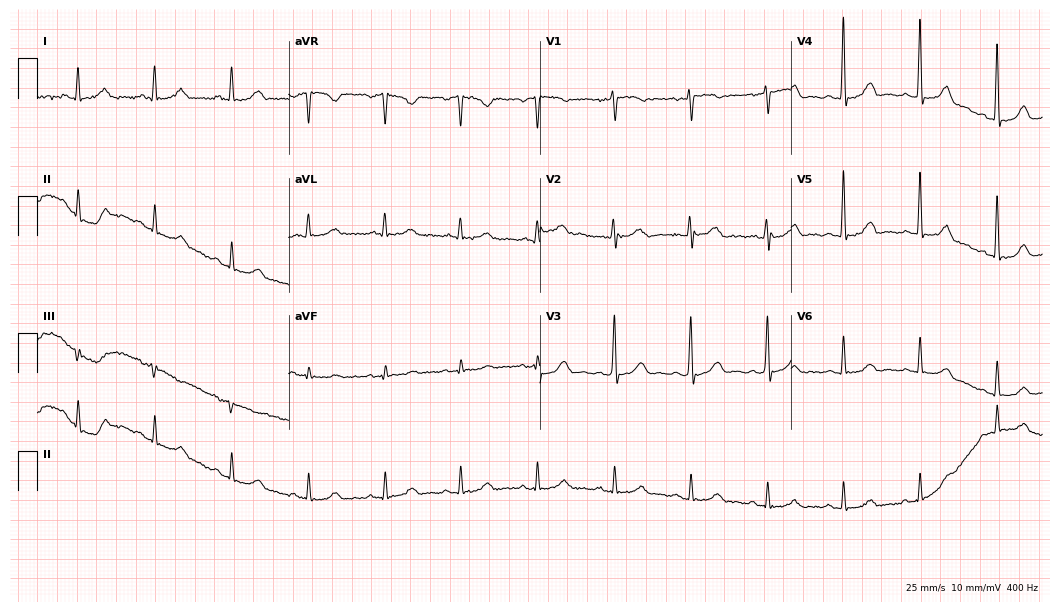
ECG — a male, 63 years old. Labelled as a normal ECG.